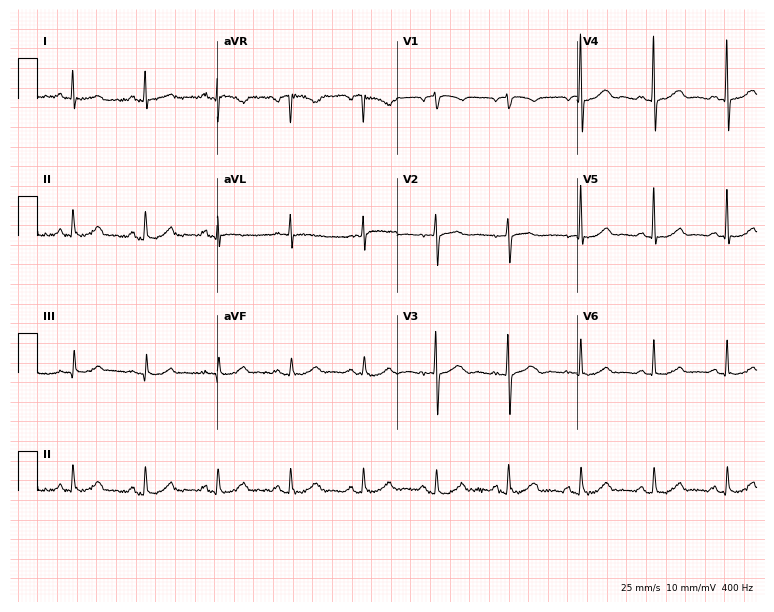
Resting 12-lead electrocardiogram (7.3-second recording at 400 Hz). Patient: a woman, 81 years old. Read as a normal ECG.